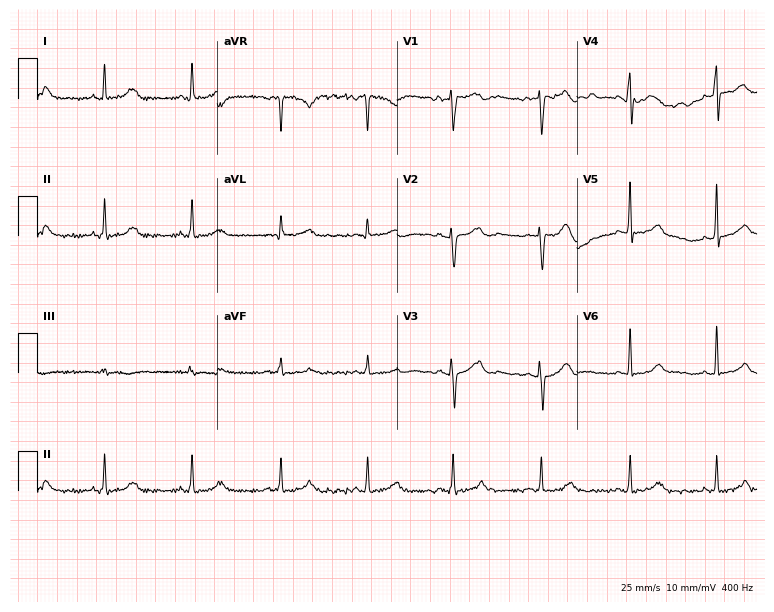
12-lead ECG (7.3-second recording at 400 Hz) from a female, 38 years old. Screened for six findings — first-degree AV block, right bundle branch block, left bundle branch block, sinus bradycardia, atrial fibrillation, sinus tachycardia — none is recorded. Other findings, if any, are not listed.